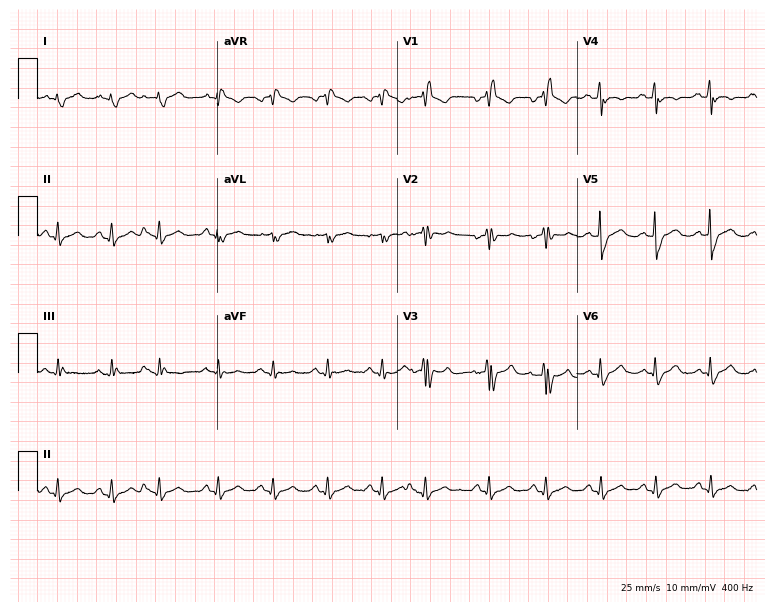
ECG (7.3-second recording at 400 Hz) — a 58-year-old man. Findings include right bundle branch block, sinus tachycardia (a sinus rate of 100 beats per minute or more).